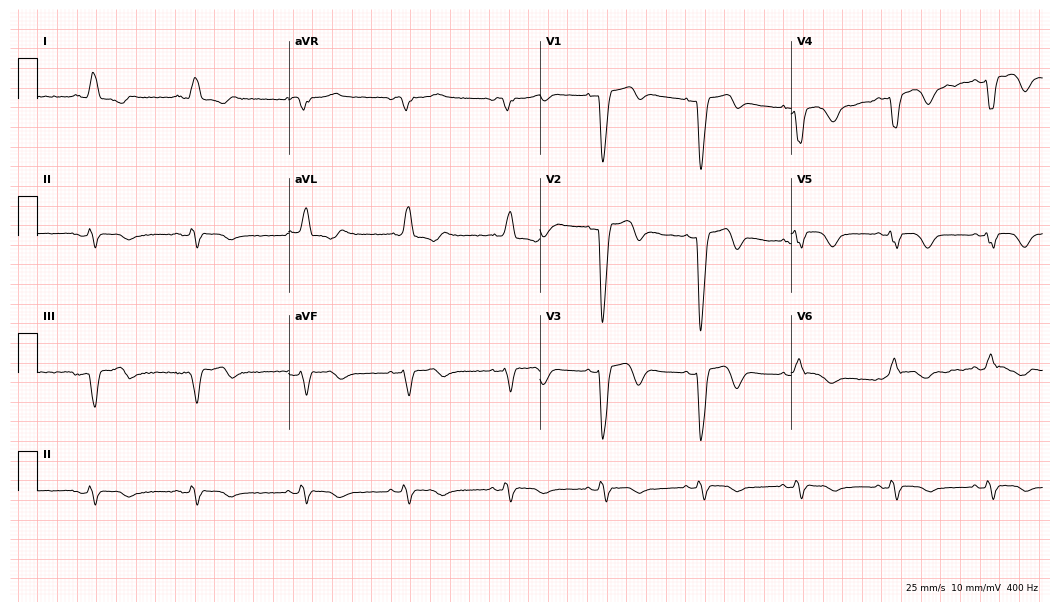
Electrocardiogram, a female, 47 years old. Interpretation includes left bundle branch block.